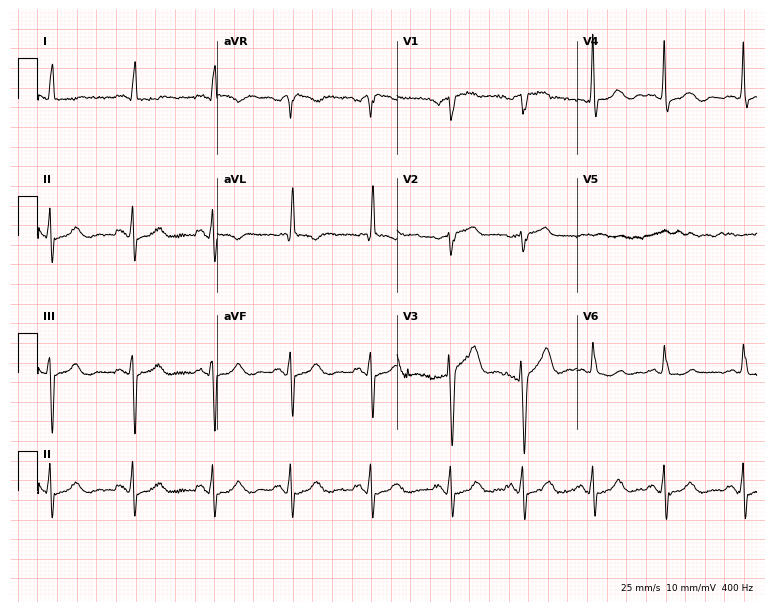
ECG — a female patient, 65 years old. Screened for six findings — first-degree AV block, right bundle branch block, left bundle branch block, sinus bradycardia, atrial fibrillation, sinus tachycardia — none is recorded.